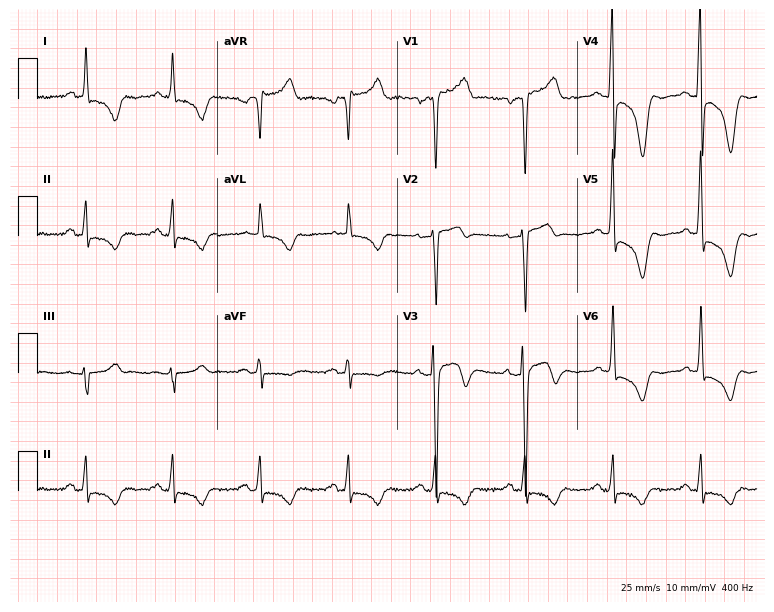
Resting 12-lead electrocardiogram (7.3-second recording at 400 Hz). Patient: a male, 54 years old. None of these six findings is recorded: first-degree AV block, right bundle branch block, left bundle branch block, sinus bradycardia, atrial fibrillation, sinus tachycardia. Other findings, if any, are not listed.